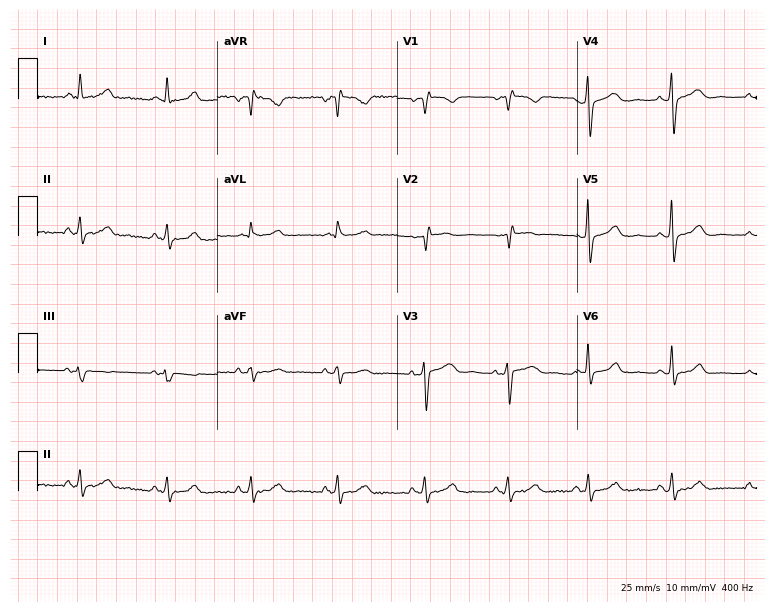
ECG (7.3-second recording at 400 Hz) — a 57-year-old female. Screened for six findings — first-degree AV block, right bundle branch block, left bundle branch block, sinus bradycardia, atrial fibrillation, sinus tachycardia — none is recorded.